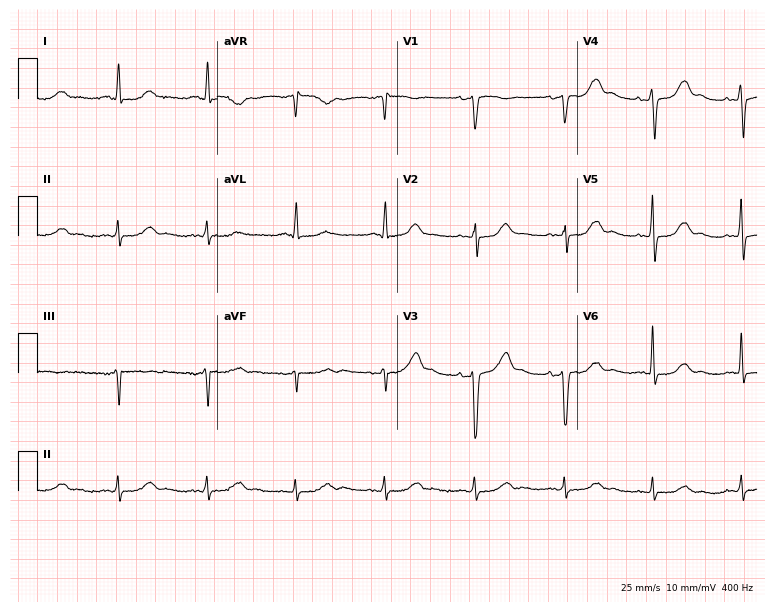
Resting 12-lead electrocardiogram (7.3-second recording at 400 Hz). Patient: a male, 69 years old. Read as a normal ECG.